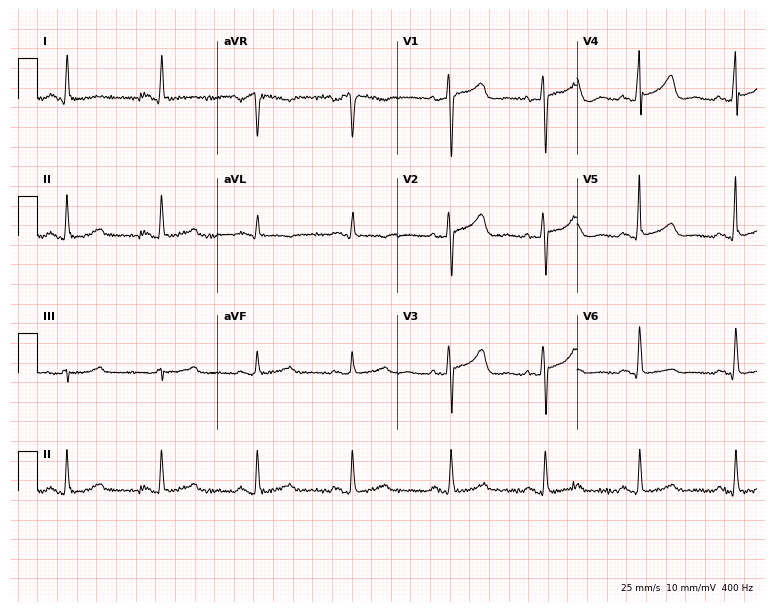
ECG (7.3-second recording at 400 Hz) — a 48-year-old female patient. Labelled as a normal ECG.